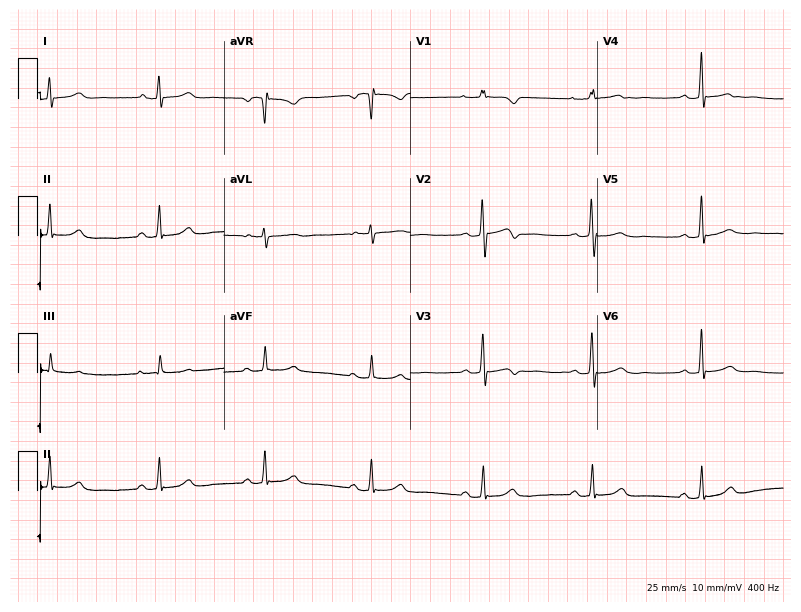
12-lead ECG from a 52-year-old woman (7.6-second recording at 400 Hz). Recorded interpretation: within normal limits.